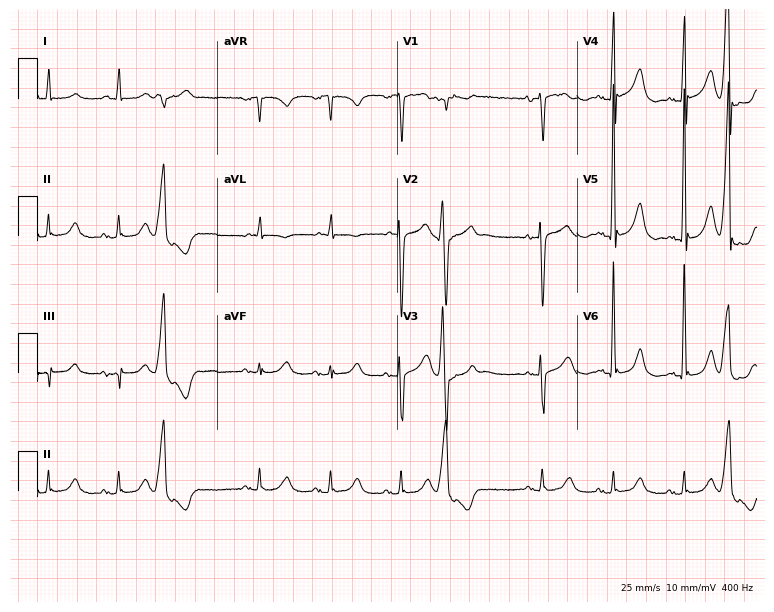
ECG (7.3-second recording at 400 Hz) — a male, 79 years old. Screened for six findings — first-degree AV block, right bundle branch block (RBBB), left bundle branch block (LBBB), sinus bradycardia, atrial fibrillation (AF), sinus tachycardia — none is recorded.